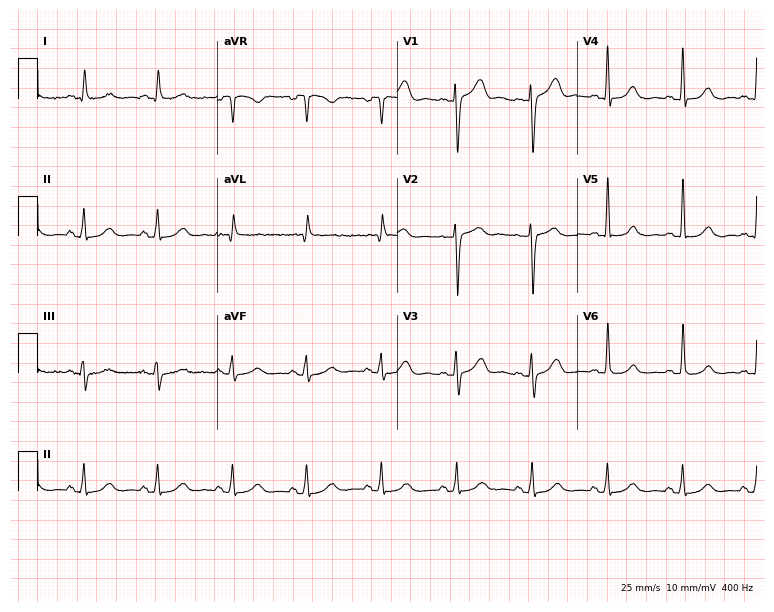
ECG — a 68-year-old female patient. Labelled as a normal ECG.